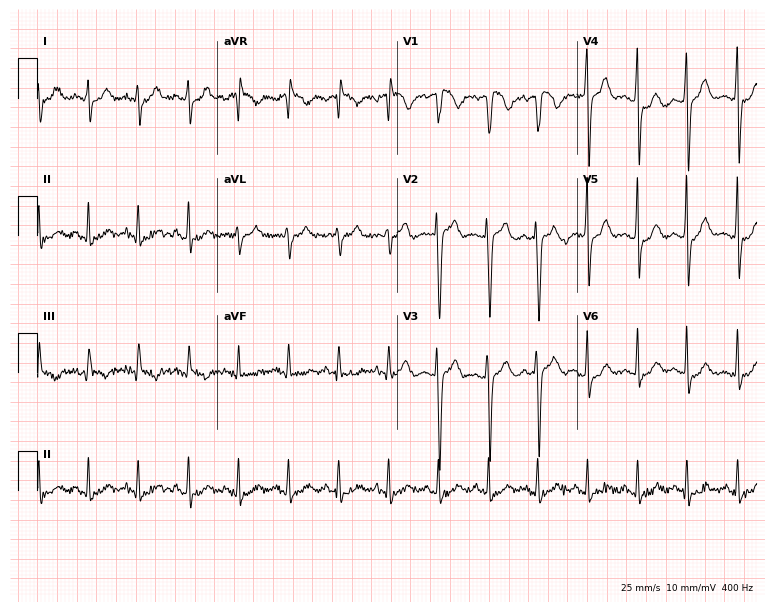
ECG — a 41-year-old man. Findings include sinus tachycardia (a sinus rate of 100 beats per minute or more).